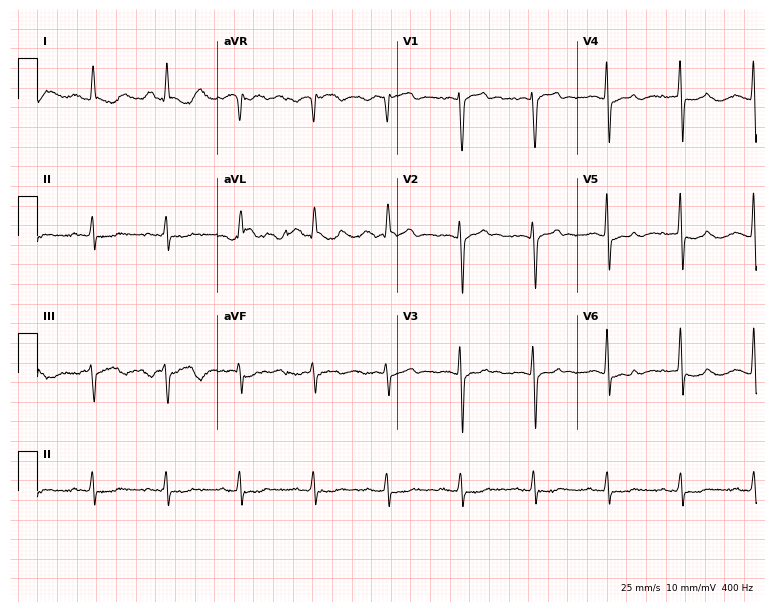
Standard 12-lead ECG recorded from a woman, 80 years old (7.3-second recording at 400 Hz). None of these six findings is recorded: first-degree AV block, right bundle branch block, left bundle branch block, sinus bradycardia, atrial fibrillation, sinus tachycardia. Other findings, if any, are not listed.